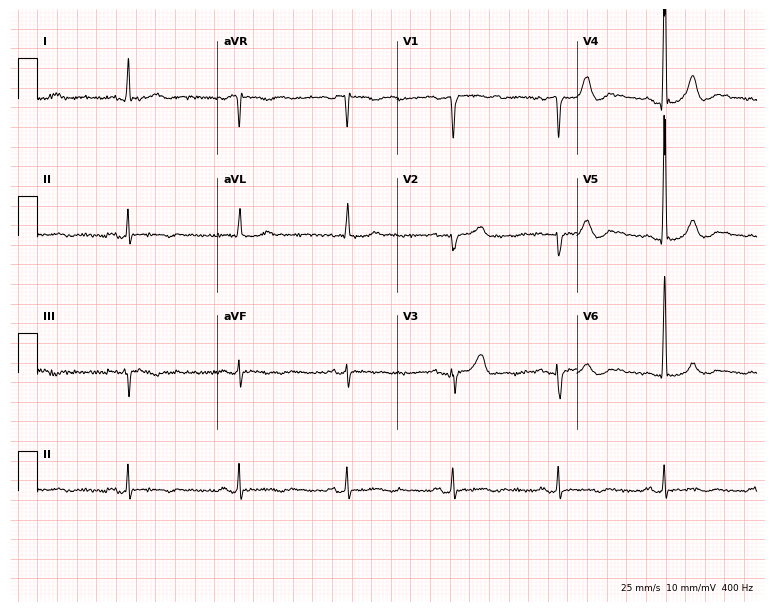
Electrocardiogram (7.3-second recording at 400 Hz), a male patient, 76 years old. Of the six screened findings (first-degree AV block, right bundle branch block (RBBB), left bundle branch block (LBBB), sinus bradycardia, atrial fibrillation (AF), sinus tachycardia), none is recorded. Findings outside these six are not listed.